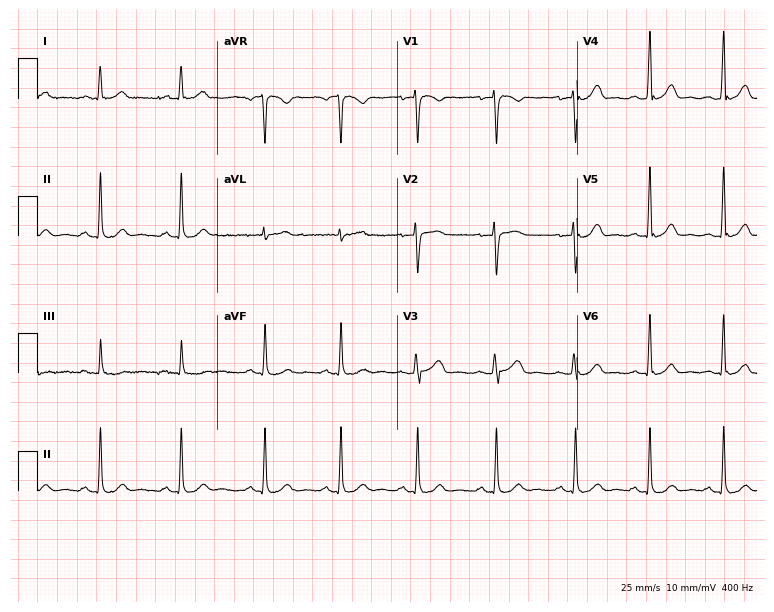
Electrocardiogram, a 29-year-old woman. Overall reading on record: normal ECG.